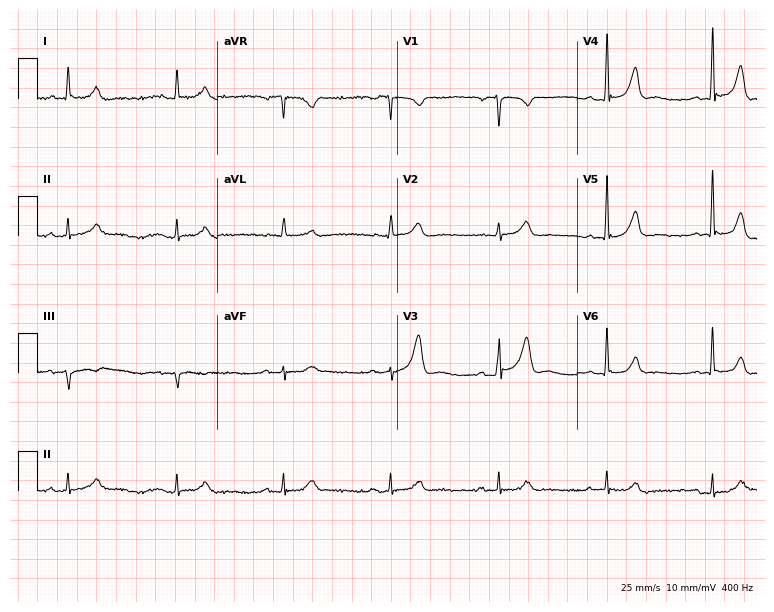
ECG (7.3-second recording at 400 Hz) — a woman, 77 years old. Labelled as a normal ECG.